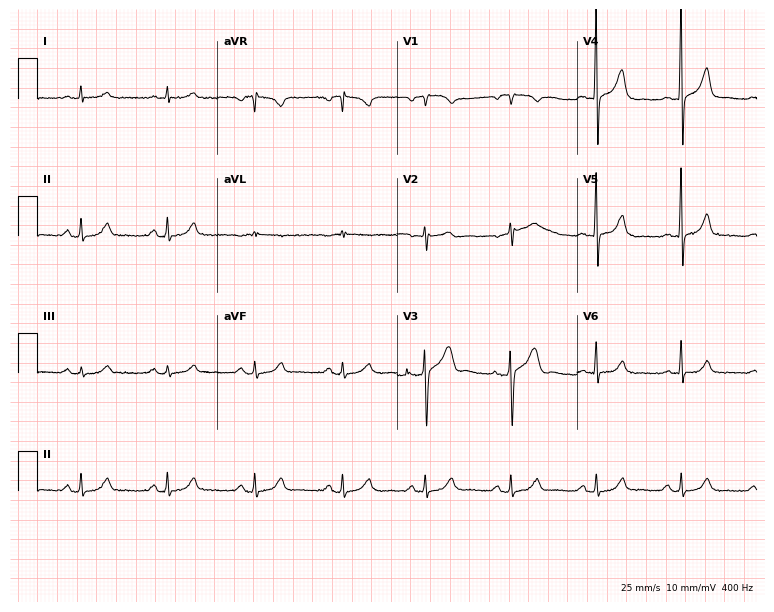
Electrocardiogram, a male patient, 60 years old. Overall reading on record: normal ECG.